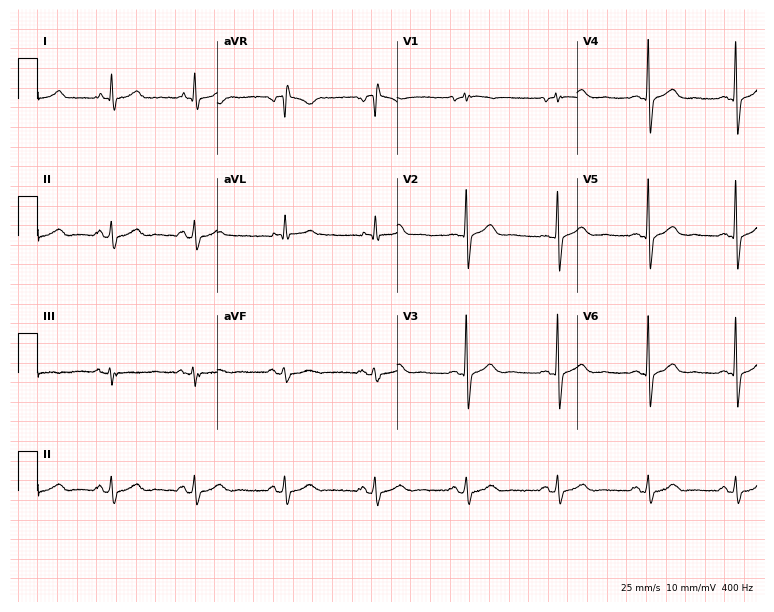
Electrocardiogram, a male, 40 years old. Overall reading on record: normal ECG.